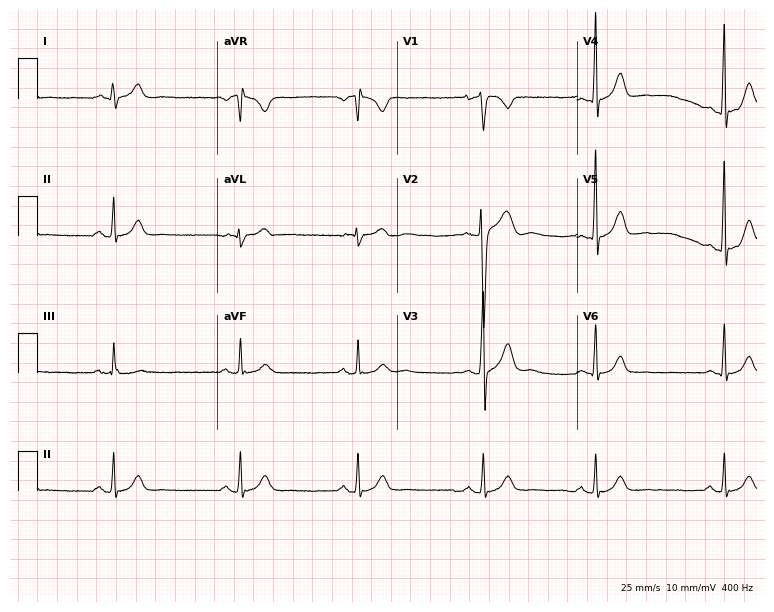
12-lead ECG from a male patient, 28 years old (7.3-second recording at 400 Hz). Shows sinus bradycardia (a sinus rate of 50 beats per minute or less).